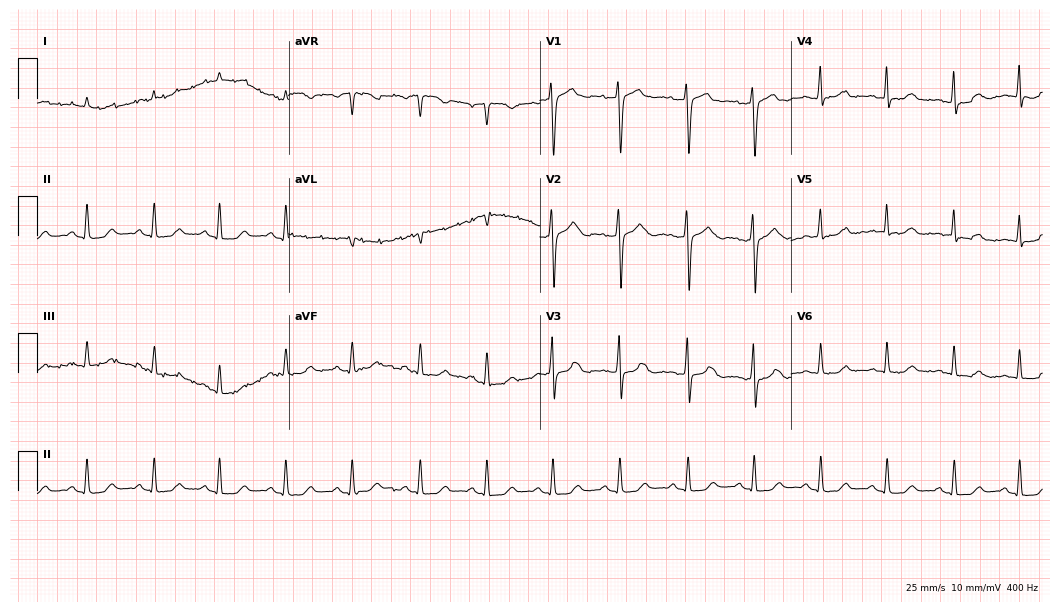
12-lead ECG from a 51-year-old woman. Screened for six findings — first-degree AV block, right bundle branch block (RBBB), left bundle branch block (LBBB), sinus bradycardia, atrial fibrillation (AF), sinus tachycardia — none is recorded. Only these six findings were labelled.